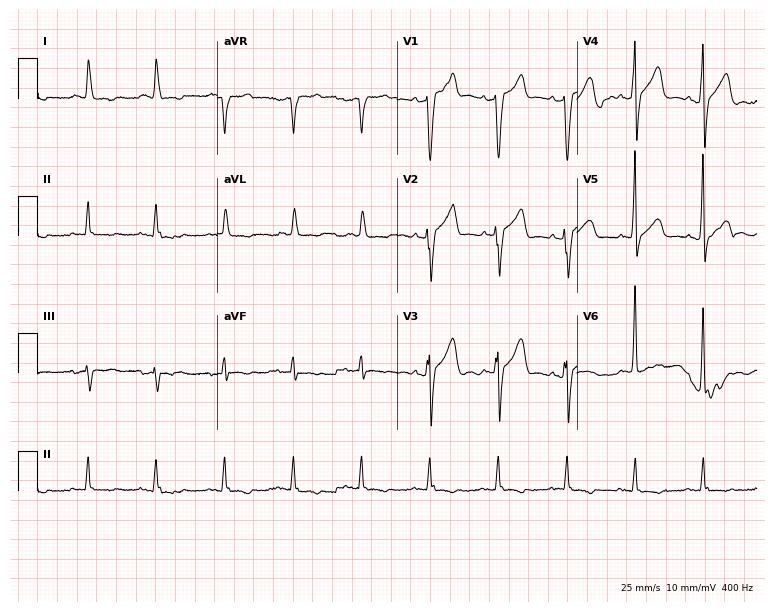
12-lead ECG from a 65-year-old male (7.3-second recording at 400 Hz). No first-degree AV block, right bundle branch block, left bundle branch block, sinus bradycardia, atrial fibrillation or sinus tachycardia recorded for this tracing.